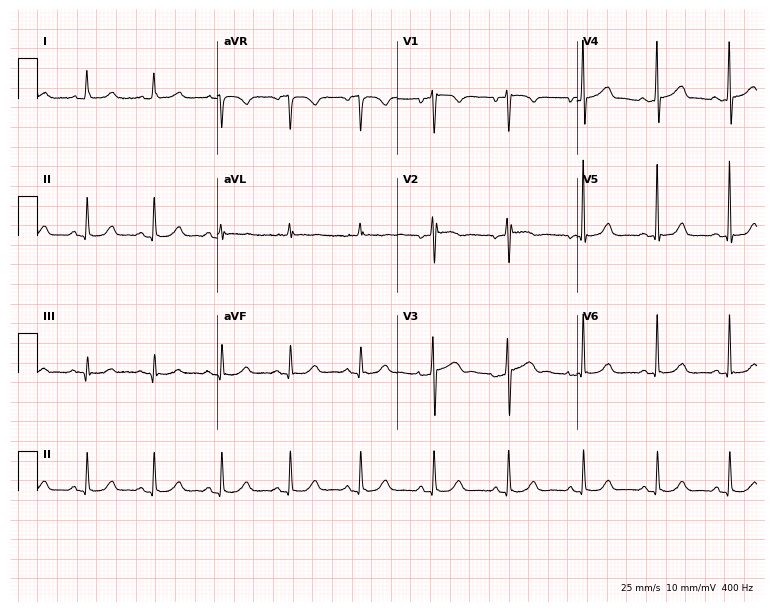
Standard 12-lead ECG recorded from a woman, 56 years old. Read as a normal ECG.